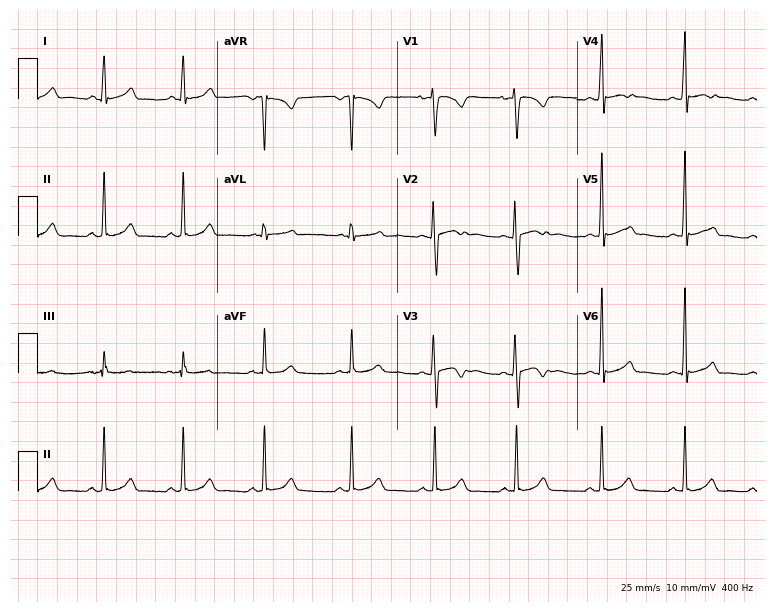
Resting 12-lead electrocardiogram. Patient: a female, 23 years old. None of these six findings is recorded: first-degree AV block, right bundle branch block, left bundle branch block, sinus bradycardia, atrial fibrillation, sinus tachycardia.